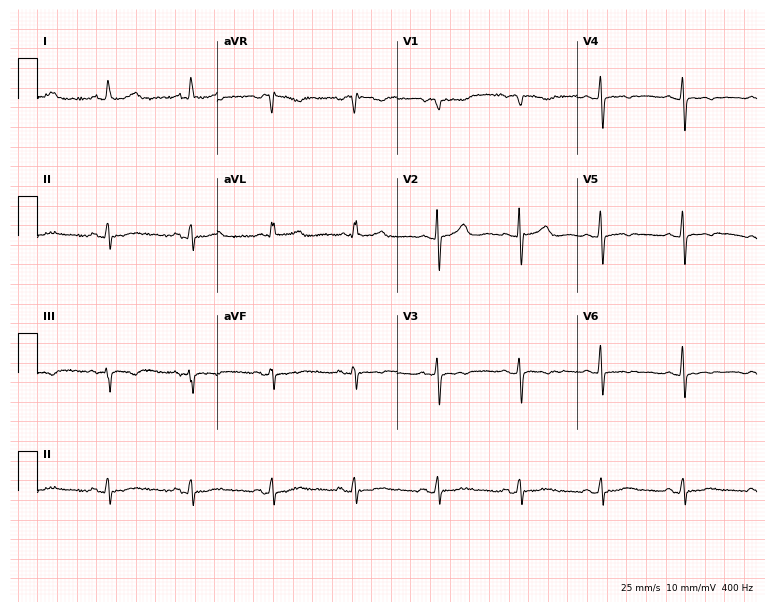
Electrocardiogram (7.3-second recording at 400 Hz), a woman, 77 years old. Of the six screened findings (first-degree AV block, right bundle branch block, left bundle branch block, sinus bradycardia, atrial fibrillation, sinus tachycardia), none is recorded.